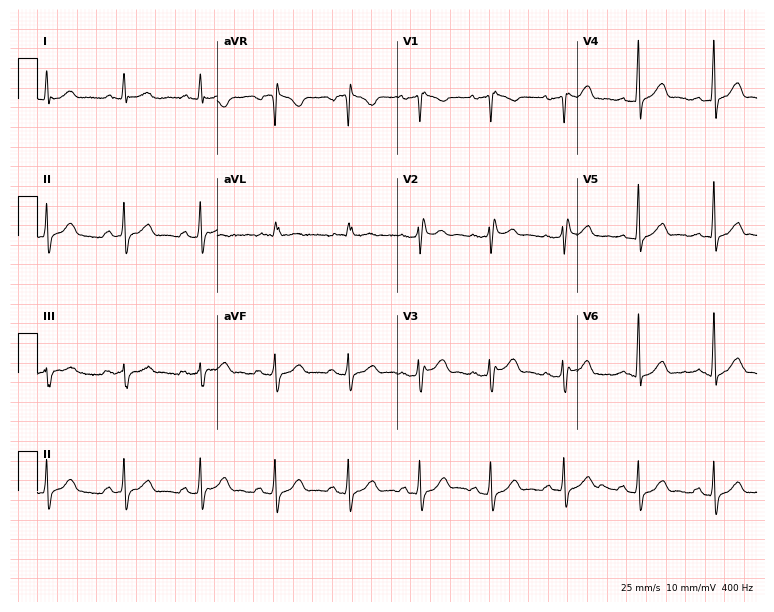
Standard 12-lead ECG recorded from a male patient, 50 years old (7.3-second recording at 400 Hz). None of these six findings is recorded: first-degree AV block, right bundle branch block (RBBB), left bundle branch block (LBBB), sinus bradycardia, atrial fibrillation (AF), sinus tachycardia. Other findings, if any, are not listed.